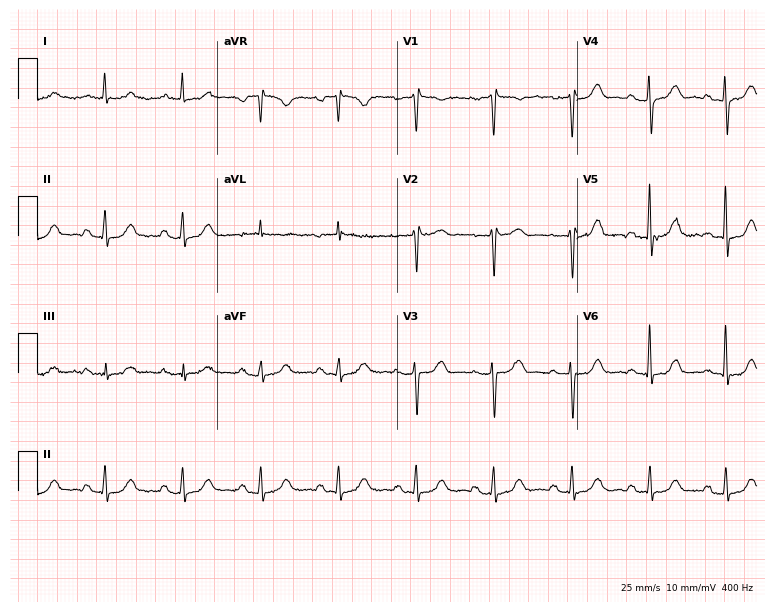
Resting 12-lead electrocardiogram (7.3-second recording at 400 Hz). Patient: a 76-year-old female. None of these six findings is recorded: first-degree AV block, right bundle branch block, left bundle branch block, sinus bradycardia, atrial fibrillation, sinus tachycardia. Findings outside these six are not listed.